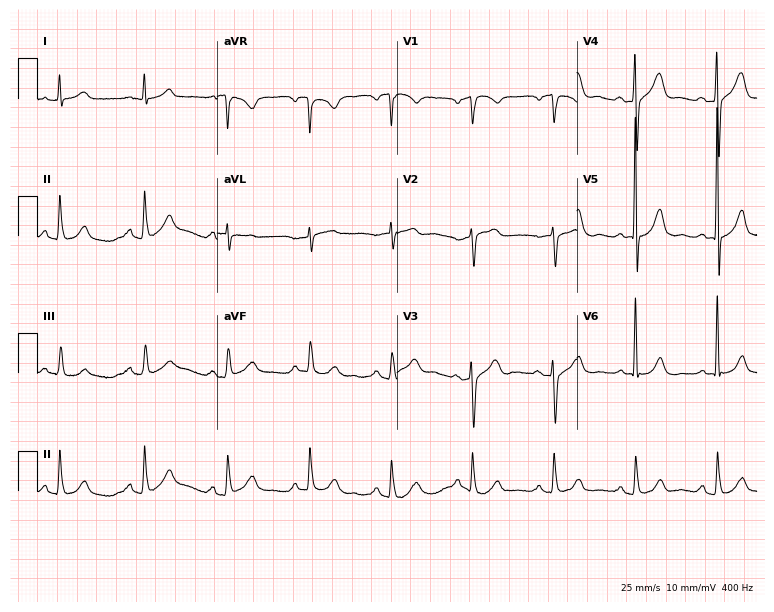
Resting 12-lead electrocardiogram (7.3-second recording at 400 Hz). Patient: a male, 79 years old. Read as a normal ECG.